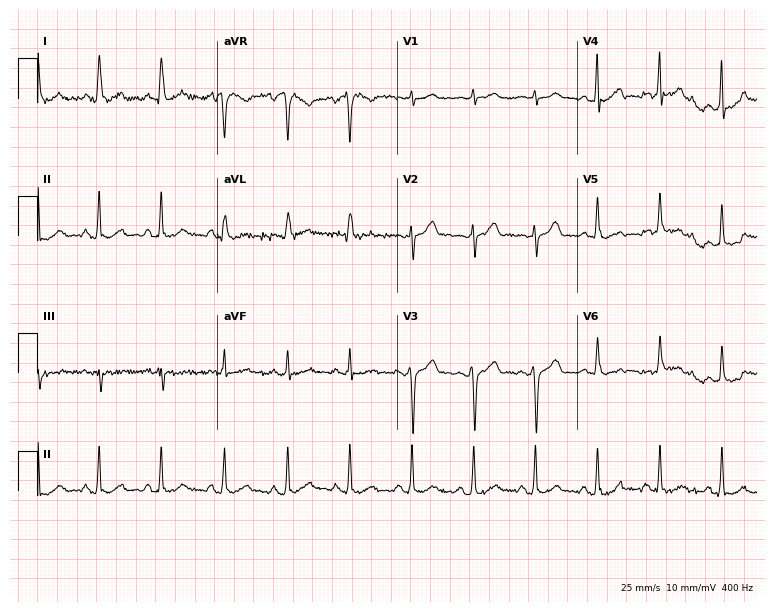
Resting 12-lead electrocardiogram. Patient: a man, 33 years old. None of these six findings is recorded: first-degree AV block, right bundle branch block, left bundle branch block, sinus bradycardia, atrial fibrillation, sinus tachycardia. Findings outside these six are not listed.